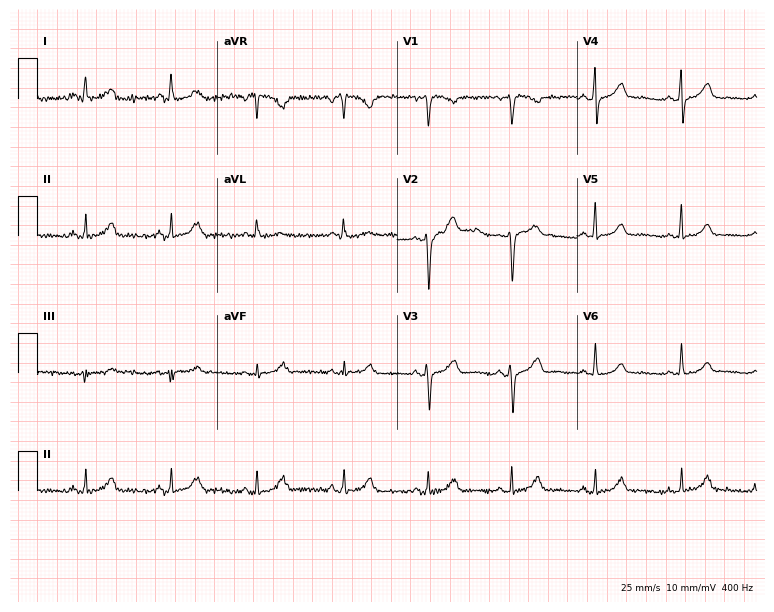
Resting 12-lead electrocardiogram. Patient: a woman, 49 years old. None of these six findings is recorded: first-degree AV block, right bundle branch block, left bundle branch block, sinus bradycardia, atrial fibrillation, sinus tachycardia. Only these six findings were labelled.